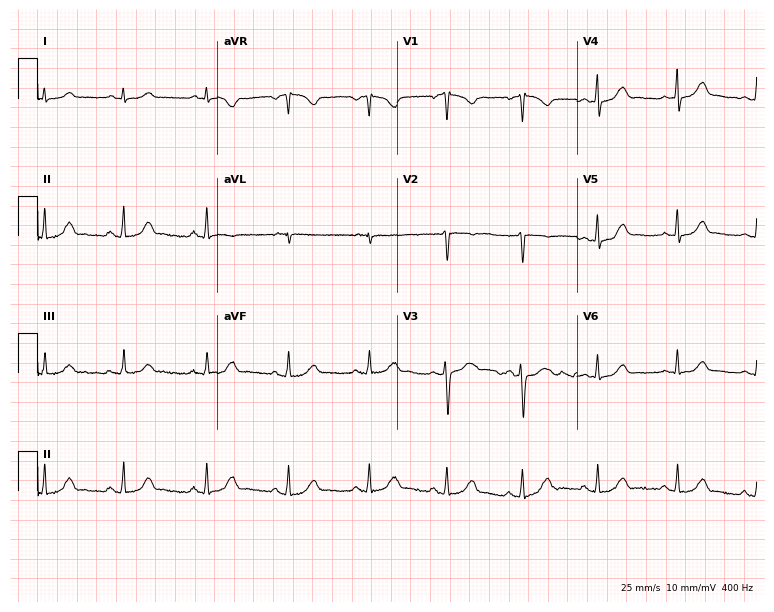
12-lead ECG from a female patient, 20 years old (7.3-second recording at 400 Hz). Recorded interpretation: within normal limits.